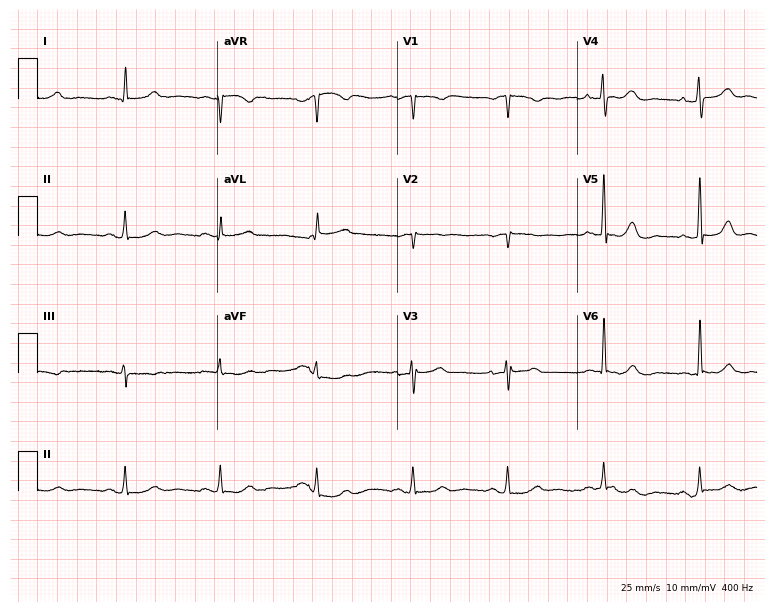
Resting 12-lead electrocardiogram (7.3-second recording at 400 Hz). Patient: a woman, 75 years old. Read as a normal ECG.